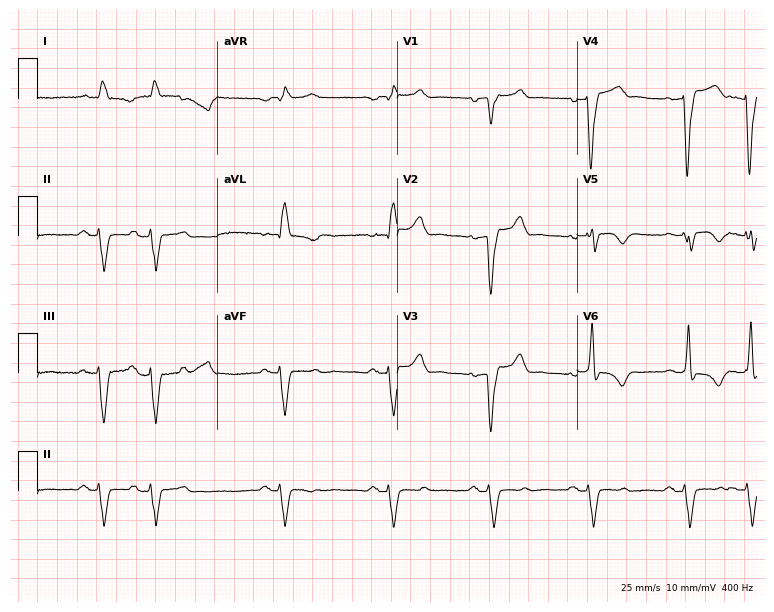
Resting 12-lead electrocardiogram (7.3-second recording at 400 Hz). Patient: a 75-year-old male. None of these six findings is recorded: first-degree AV block, right bundle branch block, left bundle branch block, sinus bradycardia, atrial fibrillation, sinus tachycardia.